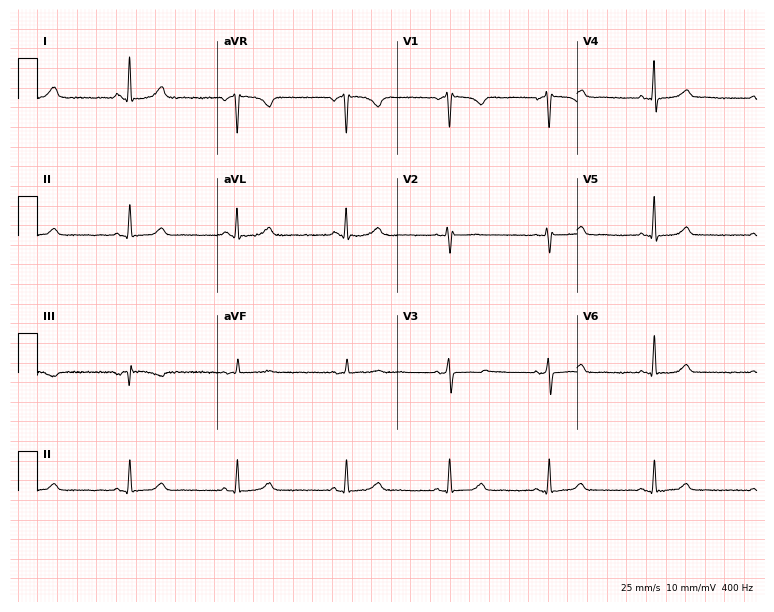
12-lead ECG from a female, 40 years old. No first-degree AV block, right bundle branch block, left bundle branch block, sinus bradycardia, atrial fibrillation or sinus tachycardia recorded for this tracing. Other findings, if any, are not listed.